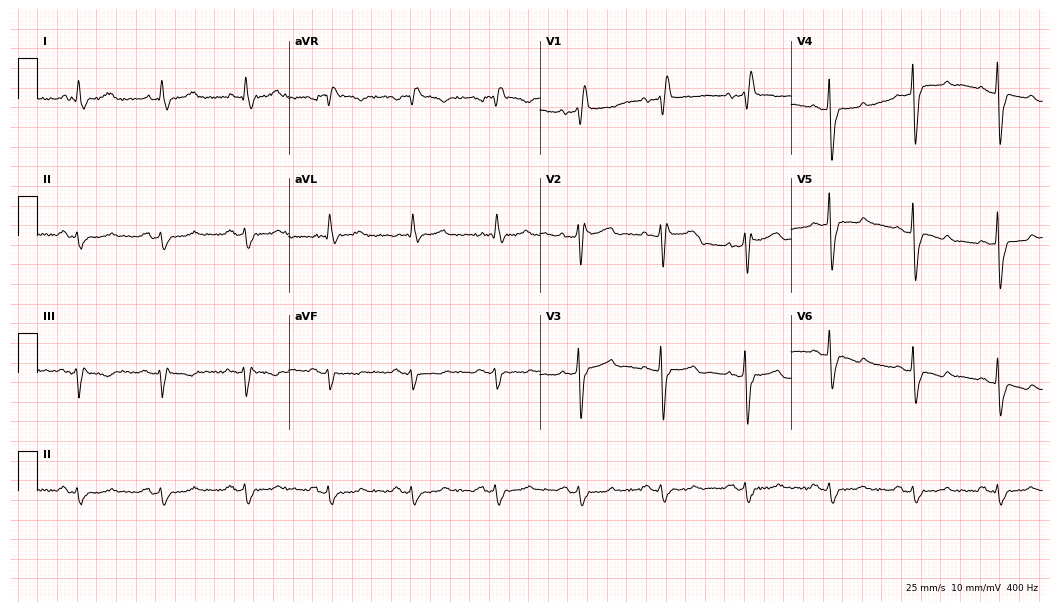
12-lead ECG from a male patient, 78 years old. Screened for six findings — first-degree AV block, right bundle branch block (RBBB), left bundle branch block (LBBB), sinus bradycardia, atrial fibrillation (AF), sinus tachycardia — none is recorded.